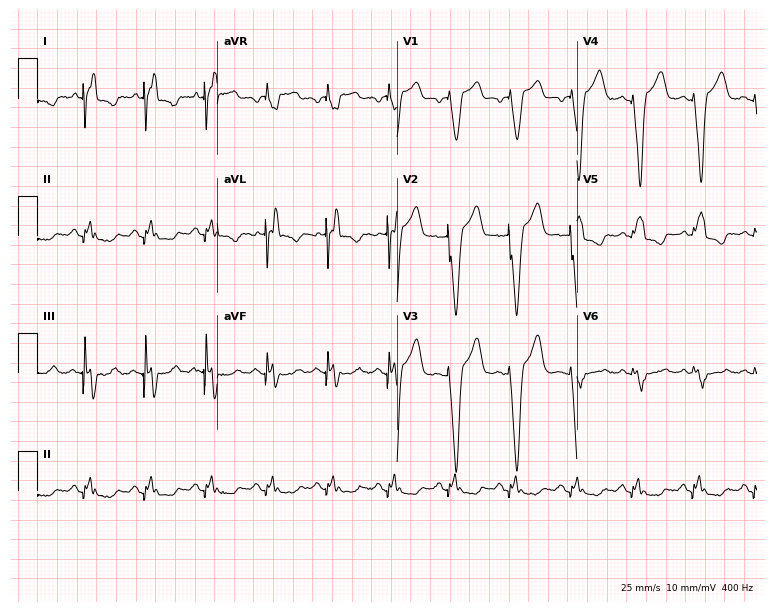
Standard 12-lead ECG recorded from a 69-year-old male patient (7.3-second recording at 400 Hz). None of these six findings is recorded: first-degree AV block, right bundle branch block, left bundle branch block, sinus bradycardia, atrial fibrillation, sinus tachycardia. Only these six findings were labelled.